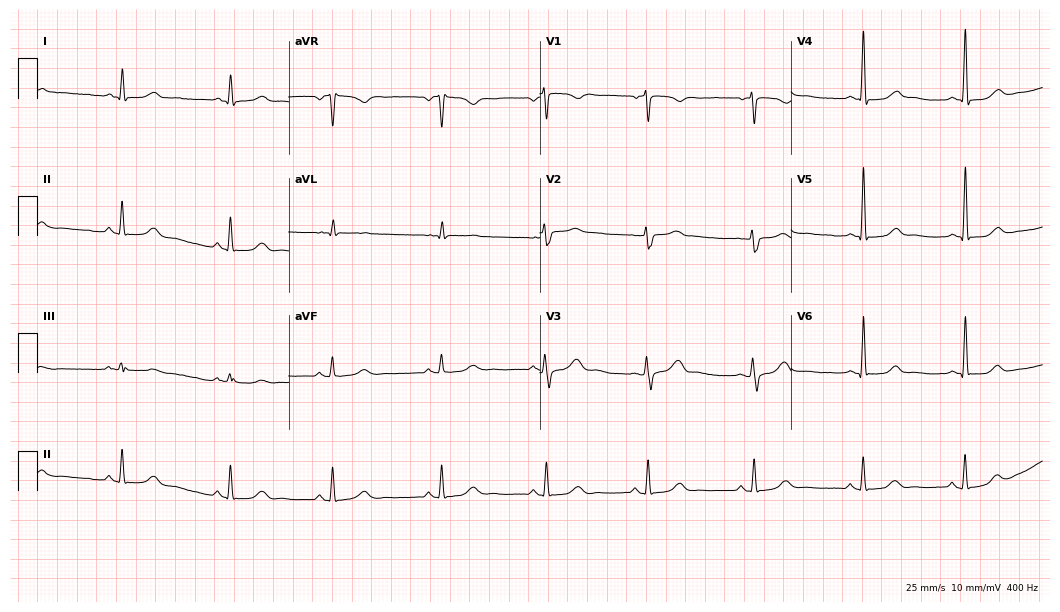
Resting 12-lead electrocardiogram (10.2-second recording at 400 Hz). Patient: a woman, 53 years old. Read as a normal ECG.